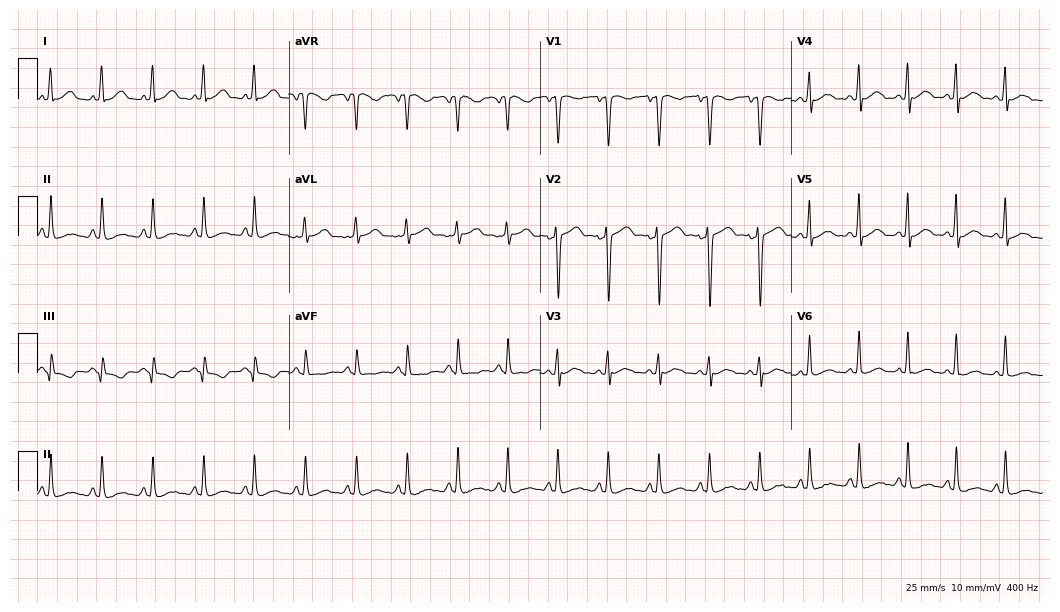
12-lead ECG (10.2-second recording at 400 Hz) from a female patient, 37 years old. Findings include sinus tachycardia (a sinus rate of 100 beats per minute or more).